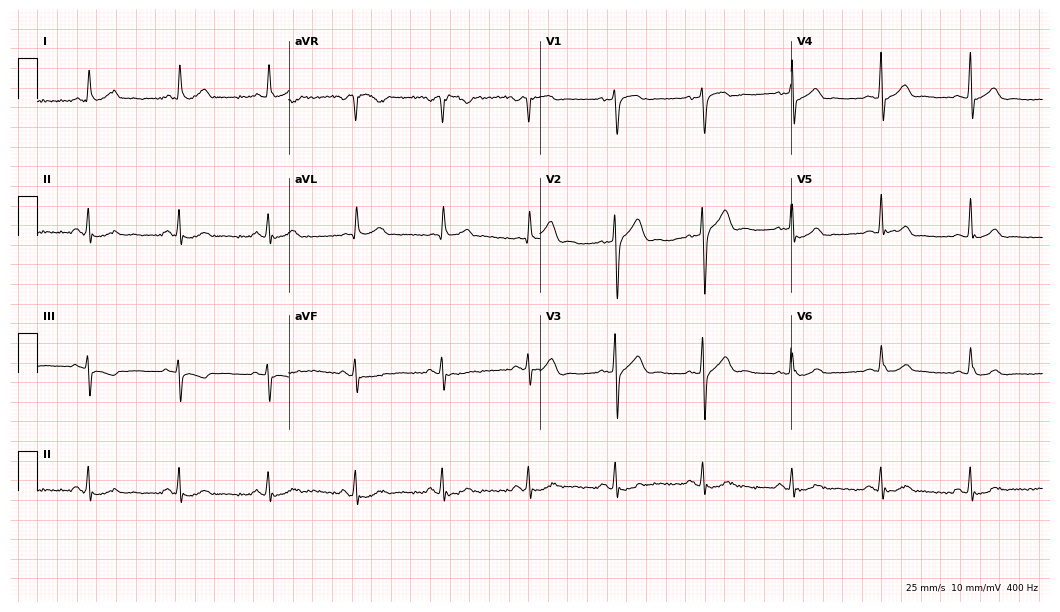
Resting 12-lead electrocardiogram (10.2-second recording at 400 Hz). Patient: a 69-year-old woman. None of these six findings is recorded: first-degree AV block, right bundle branch block, left bundle branch block, sinus bradycardia, atrial fibrillation, sinus tachycardia.